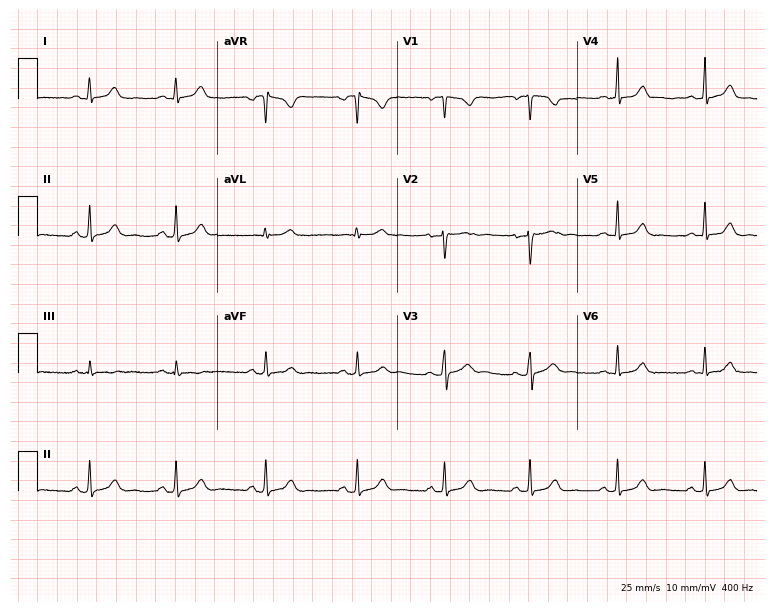
ECG (7.3-second recording at 400 Hz) — a 28-year-old woman. Screened for six findings — first-degree AV block, right bundle branch block, left bundle branch block, sinus bradycardia, atrial fibrillation, sinus tachycardia — none is recorded. Other findings, if any, are not listed.